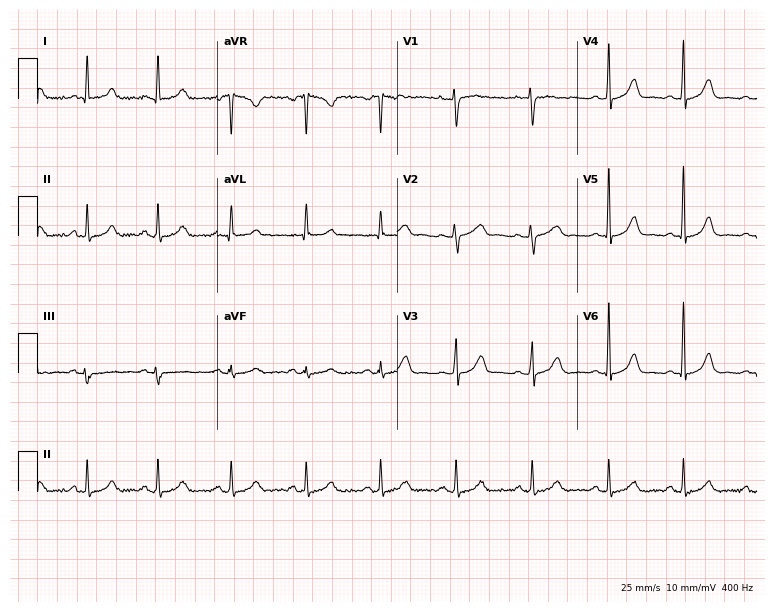
Standard 12-lead ECG recorded from a 42-year-old female patient. None of these six findings is recorded: first-degree AV block, right bundle branch block, left bundle branch block, sinus bradycardia, atrial fibrillation, sinus tachycardia.